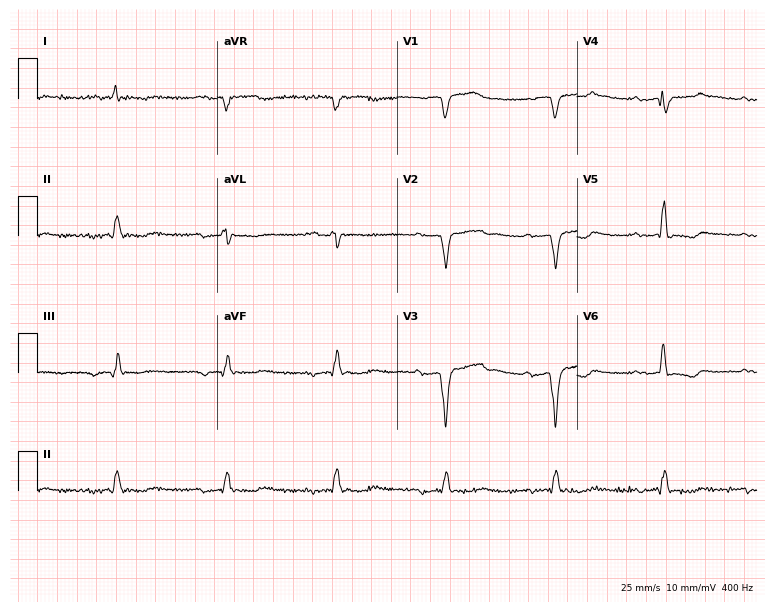
ECG — a man, 70 years old. Screened for six findings — first-degree AV block, right bundle branch block, left bundle branch block, sinus bradycardia, atrial fibrillation, sinus tachycardia — none is recorded.